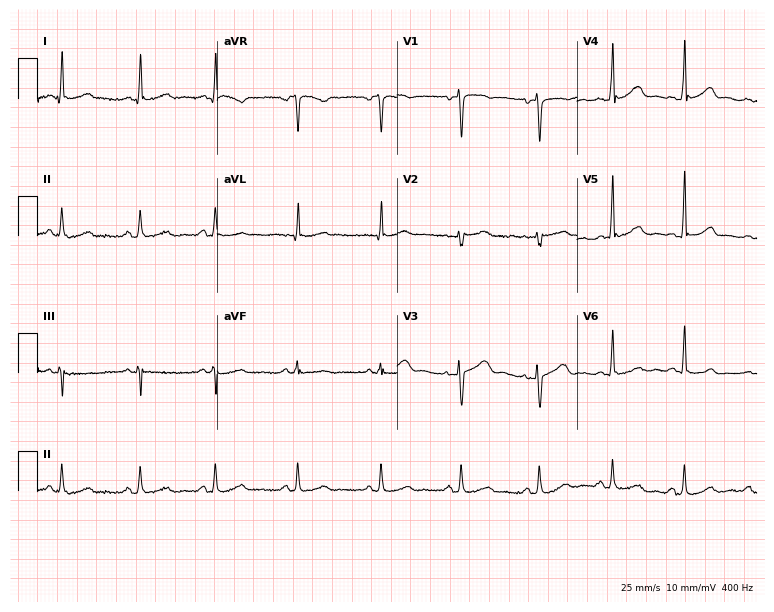
ECG — a woman, 36 years old. Labelled as a normal ECG.